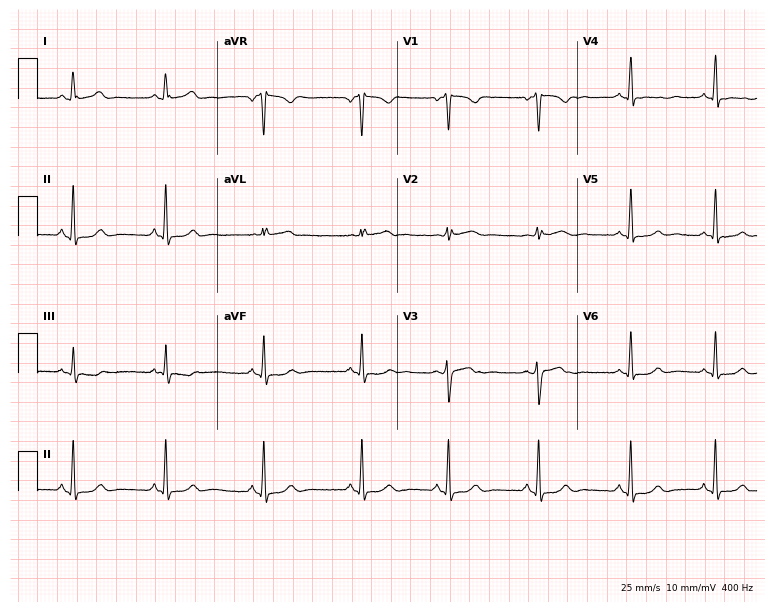
Electrocardiogram (7.3-second recording at 400 Hz), a 31-year-old female. Overall reading on record: normal ECG.